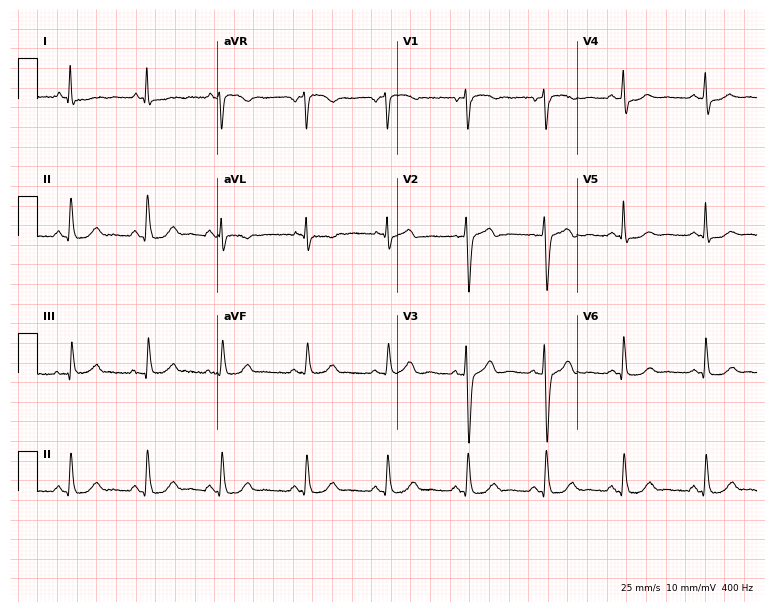
Standard 12-lead ECG recorded from a woman, 52 years old (7.3-second recording at 400 Hz). Read as a normal ECG.